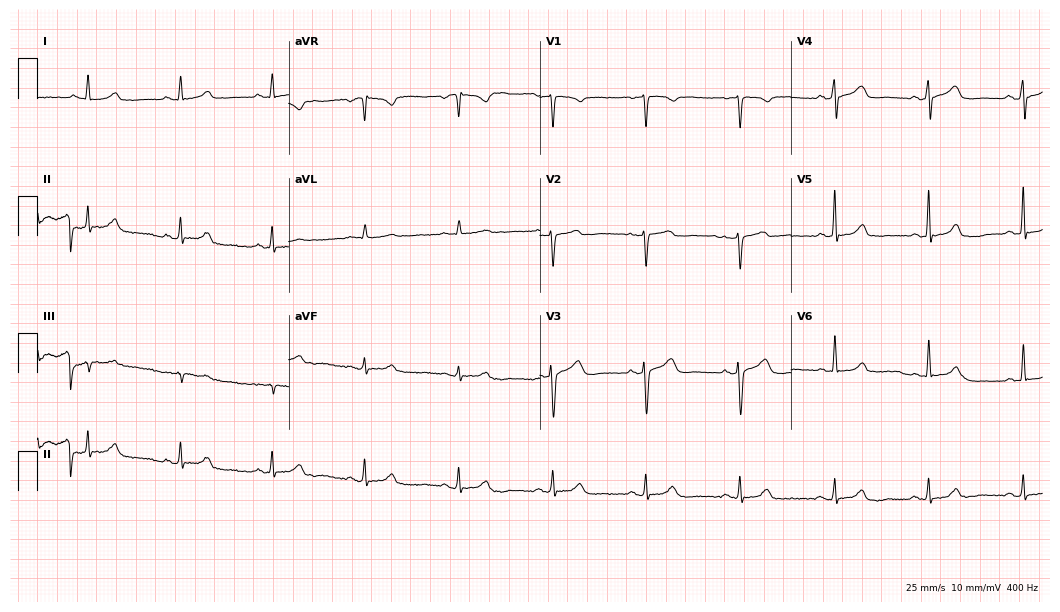
Resting 12-lead electrocardiogram. Patient: a female, 51 years old. Read as a normal ECG.